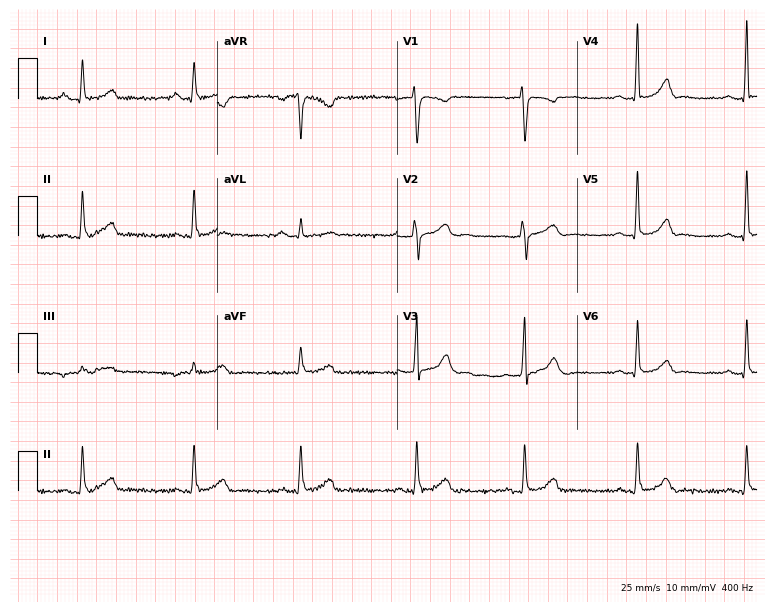
Resting 12-lead electrocardiogram (7.3-second recording at 400 Hz). Patient: a female, 41 years old. Read as a normal ECG.